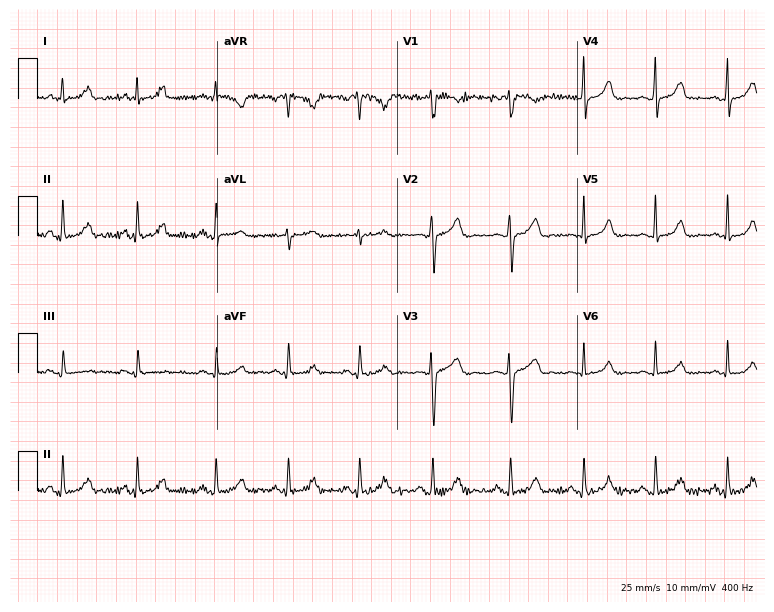
ECG (7.3-second recording at 400 Hz) — a woman, 31 years old. Labelled as a normal ECG.